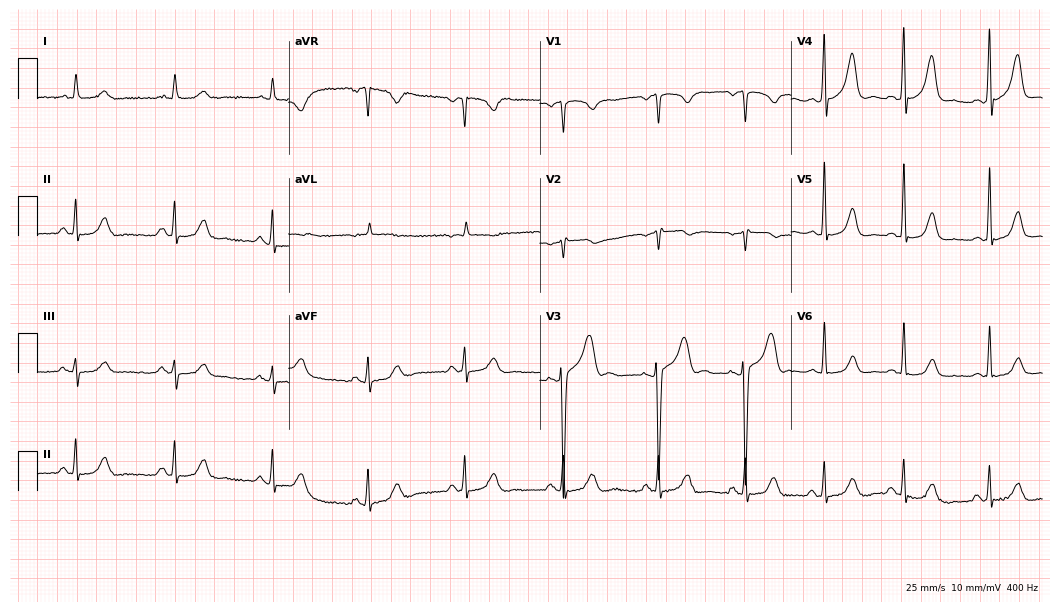
Electrocardiogram, a male patient, 57 years old. Overall reading on record: normal ECG.